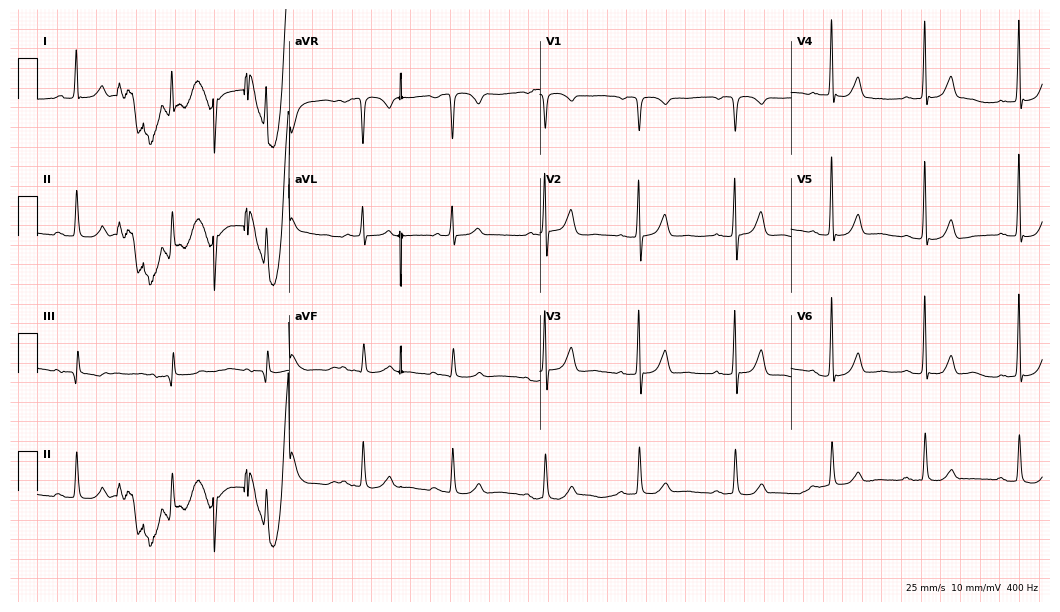
Standard 12-lead ECG recorded from an 80-year-old female (10.2-second recording at 400 Hz). None of these six findings is recorded: first-degree AV block, right bundle branch block, left bundle branch block, sinus bradycardia, atrial fibrillation, sinus tachycardia. Findings outside these six are not listed.